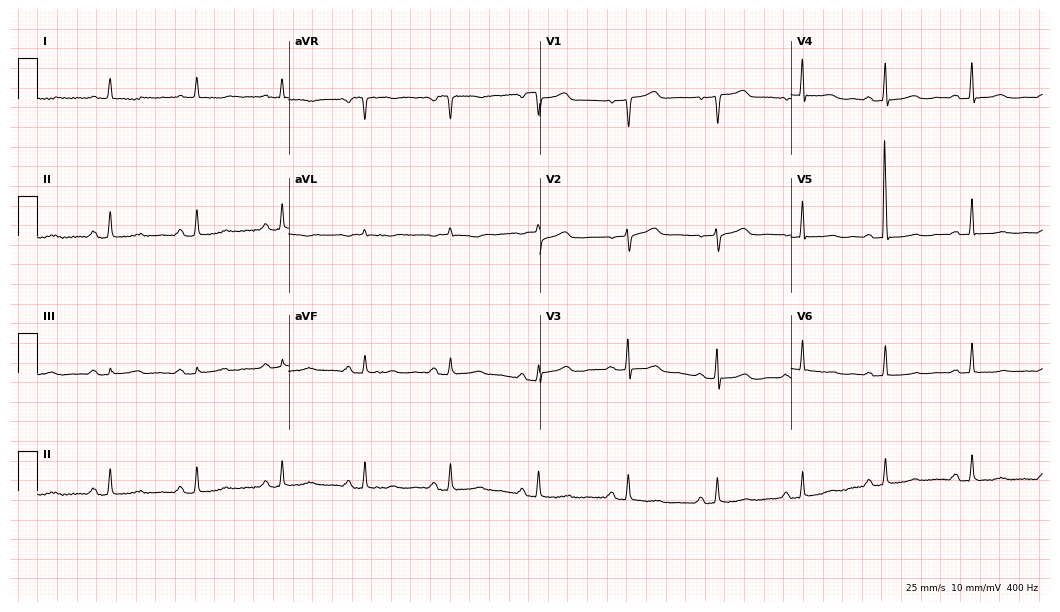
Standard 12-lead ECG recorded from a woman, 68 years old (10.2-second recording at 400 Hz). None of these six findings is recorded: first-degree AV block, right bundle branch block (RBBB), left bundle branch block (LBBB), sinus bradycardia, atrial fibrillation (AF), sinus tachycardia.